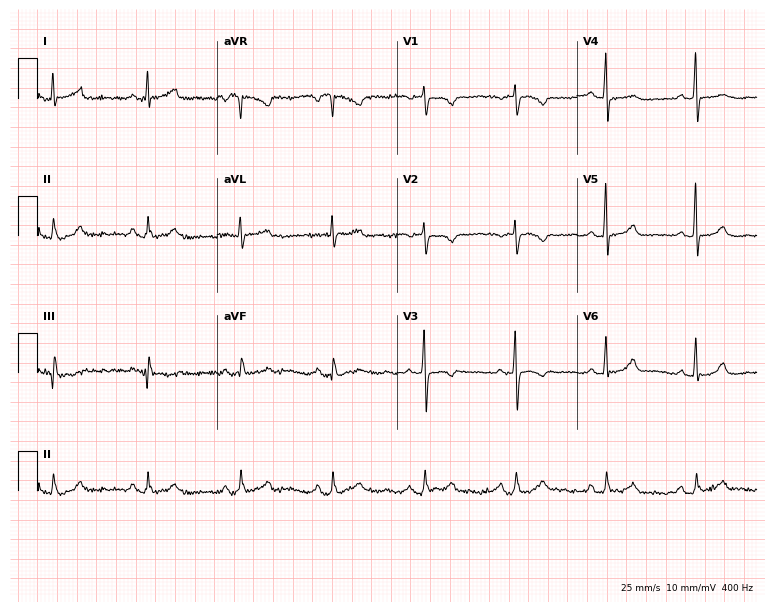
12-lead ECG from a female patient, 64 years old (7.3-second recording at 400 Hz). No first-degree AV block, right bundle branch block (RBBB), left bundle branch block (LBBB), sinus bradycardia, atrial fibrillation (AF) or sinus tachycardia recorded for this tracing.